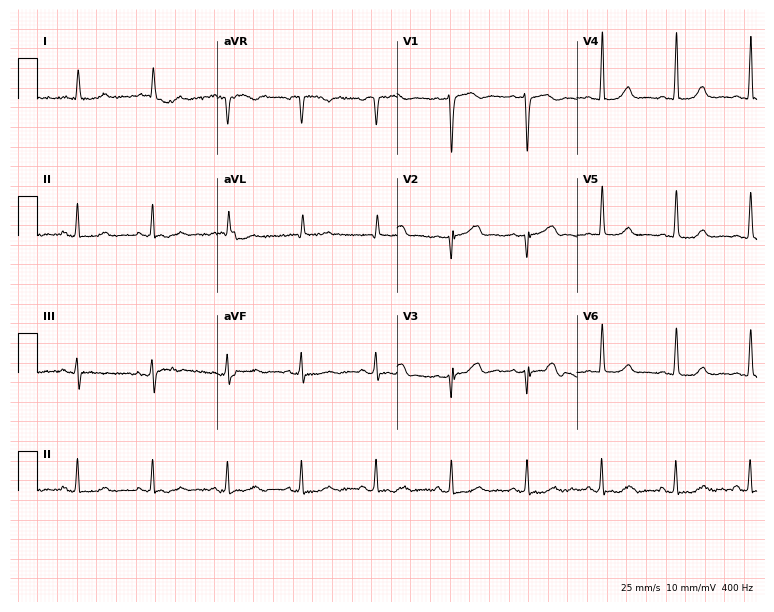
12-lead ECG (7.3-second recording at 400 Hz) from a woman, 75 years old. Screened for six findings — first-degree AV block, right bundle branch block (RBBB), left bundle branch block (LBBB), sinus bradycardia, atrial fibrillation (AF), sinus tachycardia — none is recorded. Other findings, if any, are not listed.